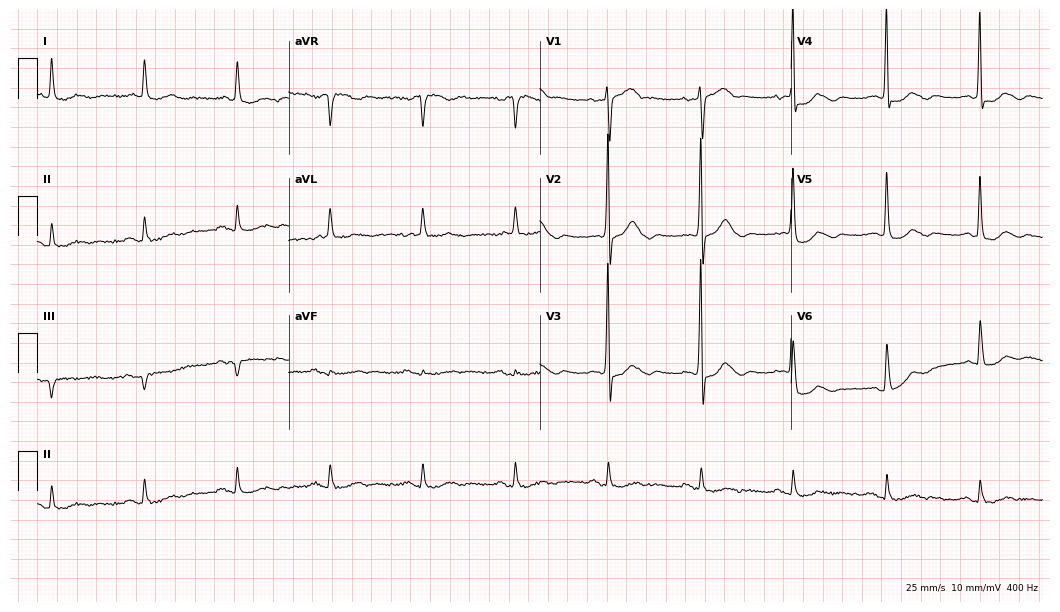
12-lead ECG from a 79-year-old male. No first-degree AV block, right bundle branch block (RBBB), left bundle branch block (LBBB), sinus bradycardia, atrial fibrillation (AF) or sinus tachycardia recorded for this tracing. Only these six findings were labelled.